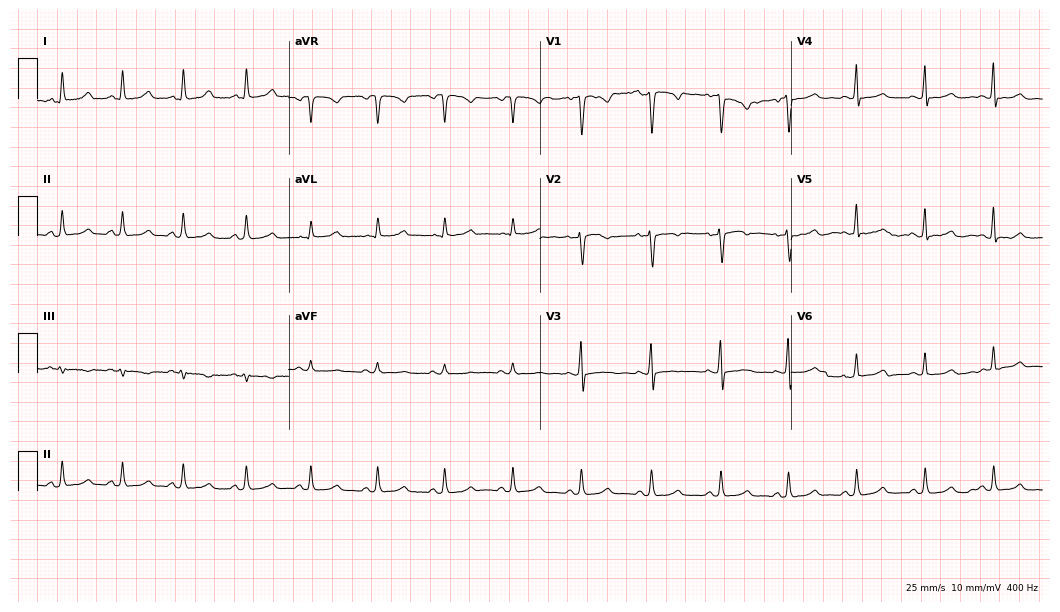
12-lead ECG (10.2-second recording at 400 Hz) from a 39-year-old female. Screened for six findings — first-degree AV block, right bundle branch block (RBBB), left bundle branch block (LBBB), sinus bradycardia, atrial fibrillation (AF), sinus tachycardia — none is recorded.